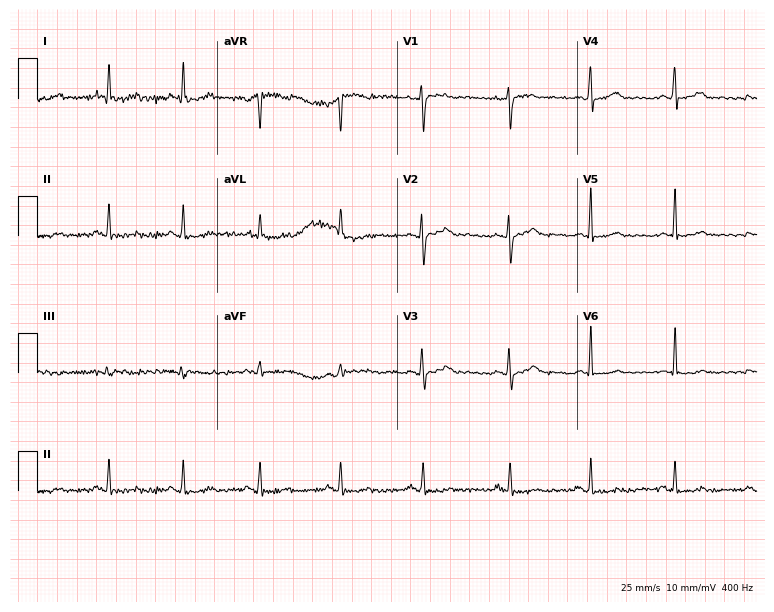
Electrocardiogram (7.3-second recording at 400 Hz), a woman, 55 years old. Overall reading on record: normal ECG.